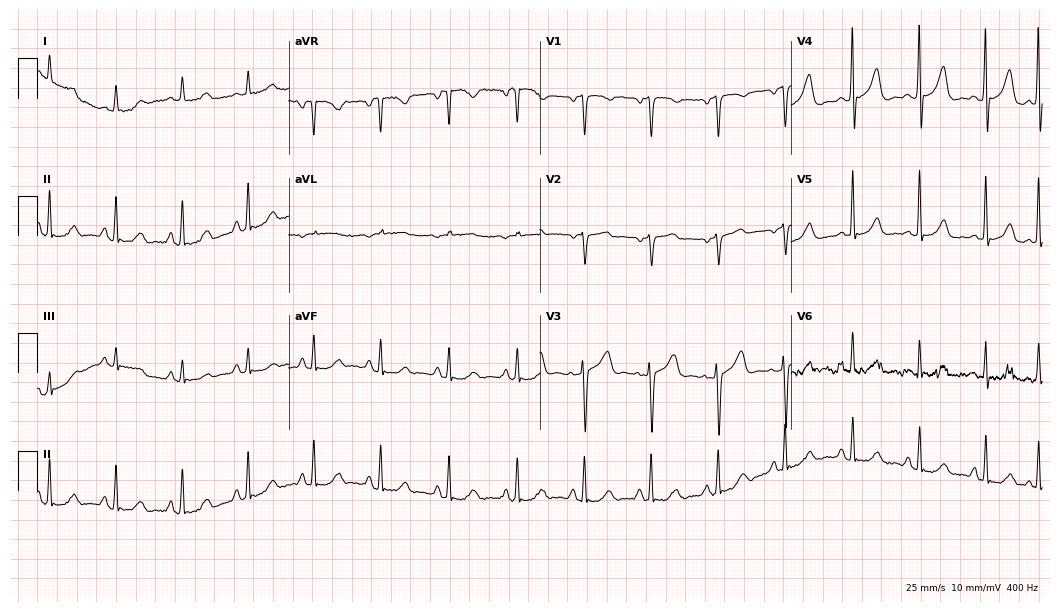
Resting 12-lead electrocardiogram. Patient: a 62-year-old male. None of these six findings is recorded: first-degree AV block, right bundle branch block, left bundle branch block, sinus bradycardia, atrial fibrillation, sinus tachycardia. Other findings, if any, are not listed.